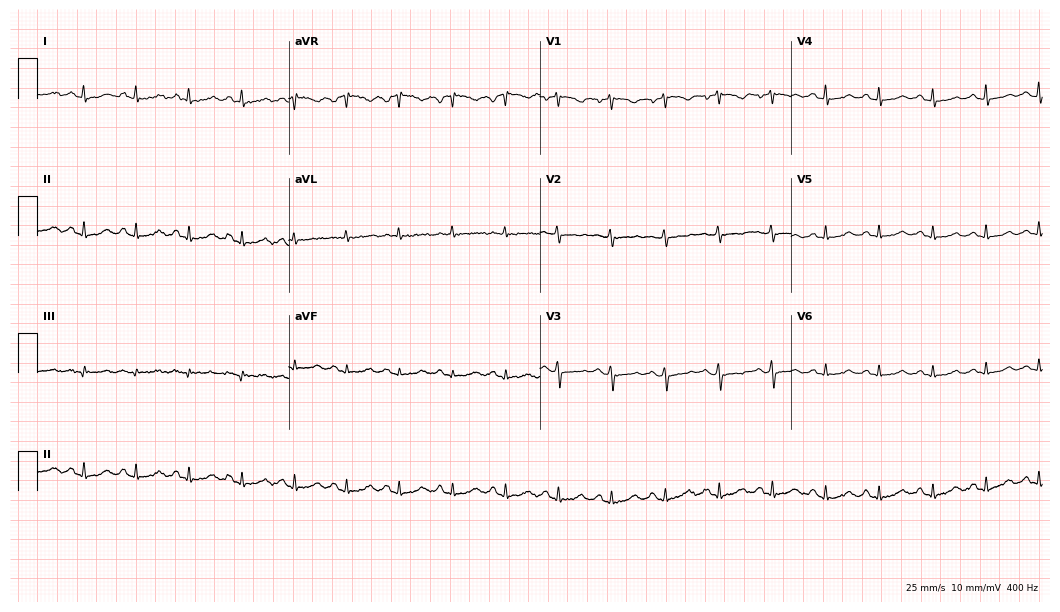
12-lead ECG from a female, 50 years old. Findings include sinus tachycardia (a sinus rate of 100 beats per minute or more).